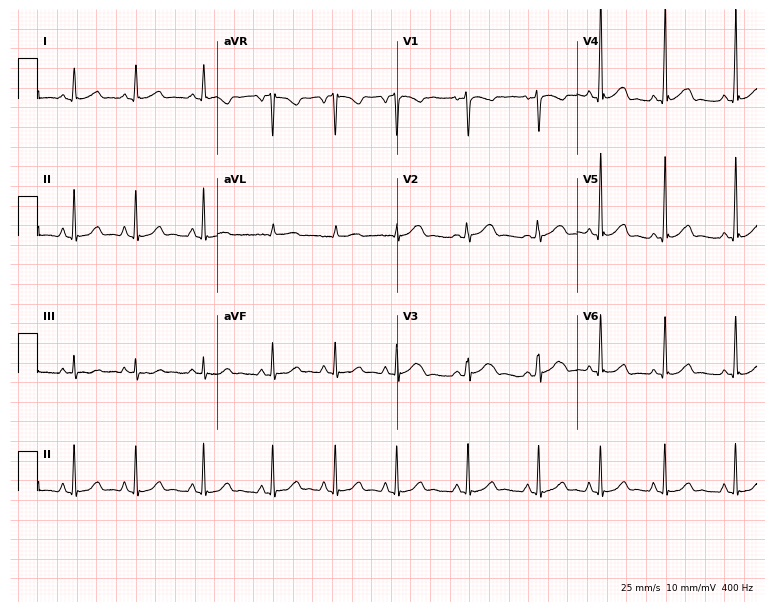
Standard 12-lead ECG recorded from a 17-year-old female (7.3-second recording at 400 Hz). Read as a normal ECG.